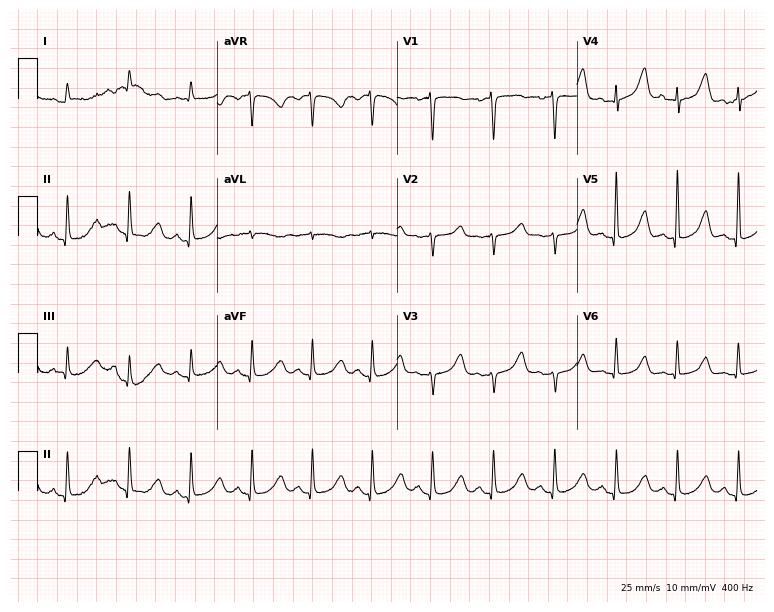
Resting 12-lead electrocardiogram (7.3-second recording at 400 Hz). Patient: a female, 57 years old. Read as a normal ECG.